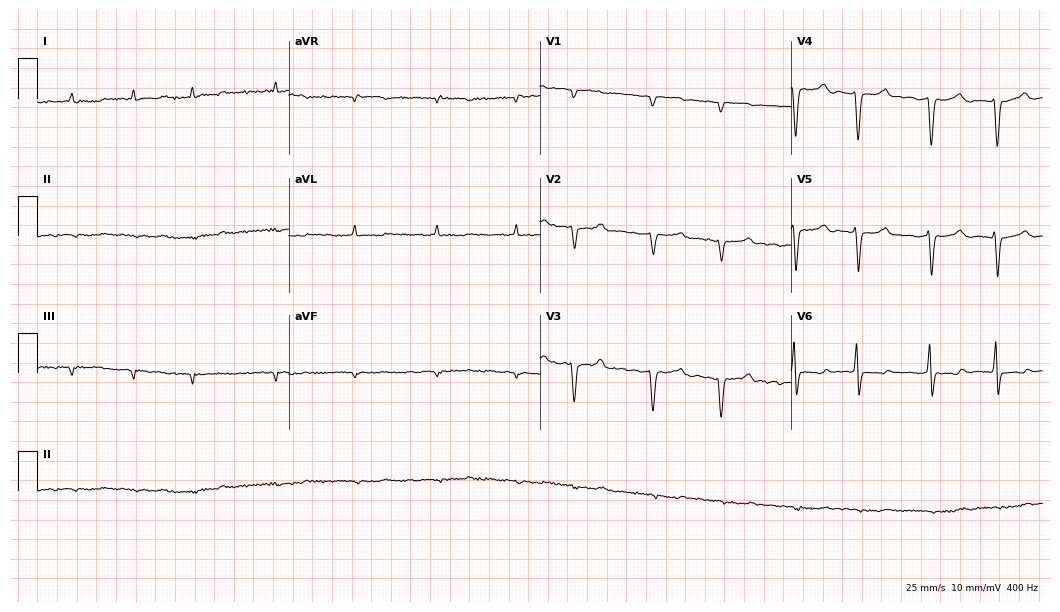
Electrocardiogram (10.2-second recording at 400 Hz), a male, 74 years old. Interpretation includes atrial fibrillation.